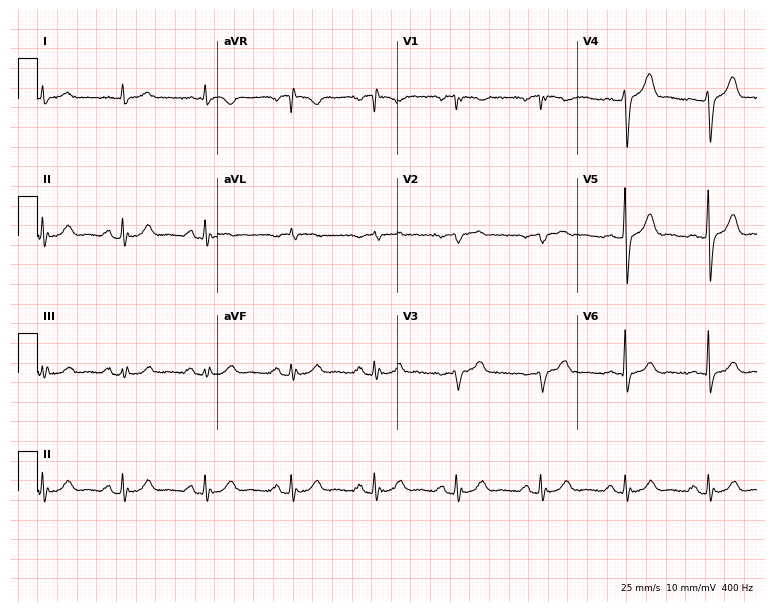
Standard 12-lead ECG recorded from a male patient, 54 years old (7.3-second recording at 400 Hz). Read as a normal ECG.